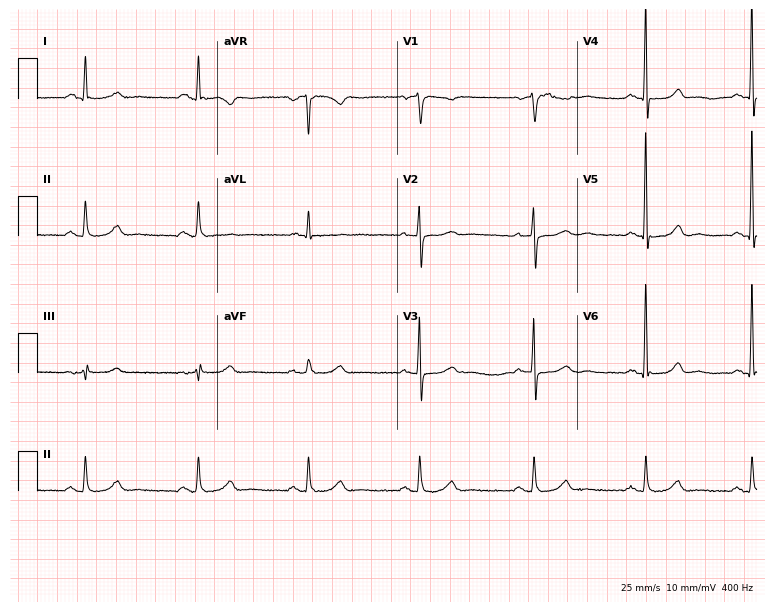
12-lead ECG from a female patient, 69 years old. Recorded interpretation: within normal limits.